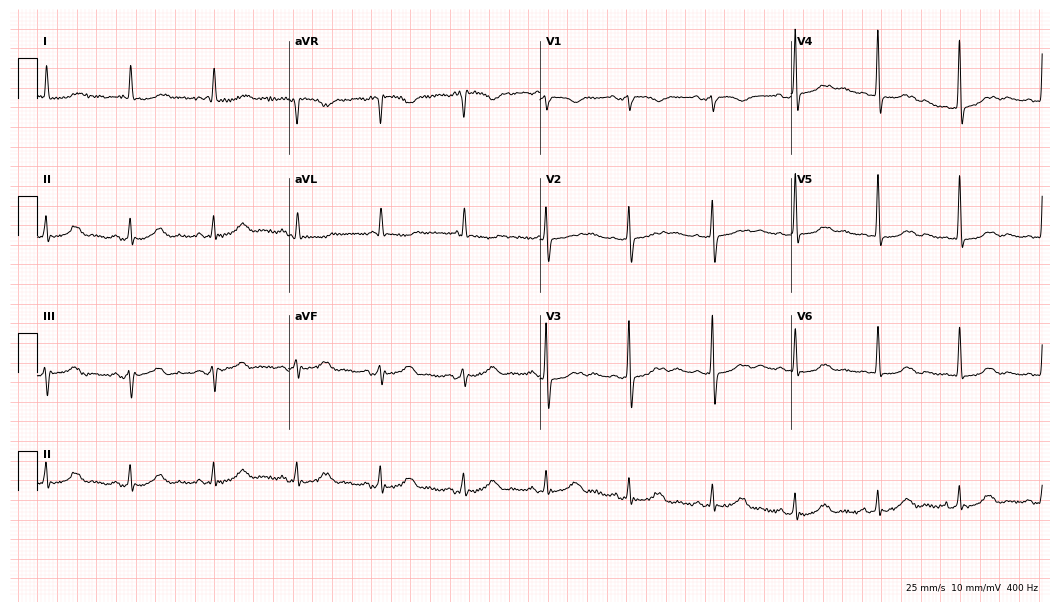
Standard 12-lead ECG recorded from an 85-year-old female. None of these six findings is recorded: first-degree AV block, right bundle branch block, left bundle branch block, sinus bradycardia, atrial fibrillation, sinus tachycardia.